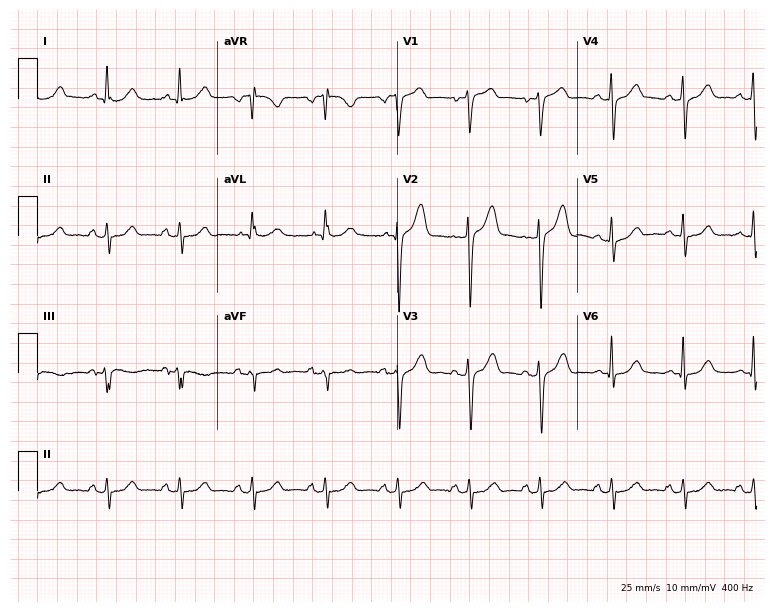
12-lead ECG from a female patient, 72 years old. No first-degree AV block, right bundle branch block (RBBB), left bundle branch block (LBBB), sinus bradycardia, atrial fibrillation (AF) or sinus tachycardia recorded for this tracing.